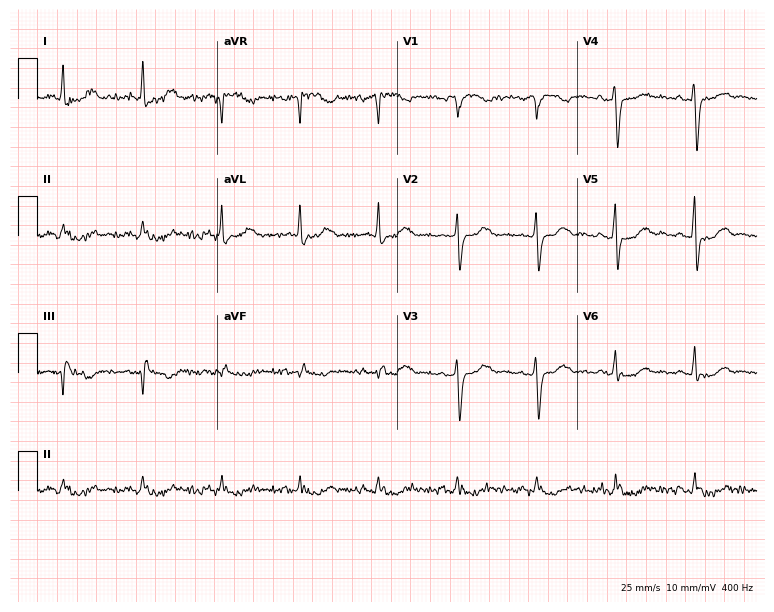
12-lead ECG from a woman, 70 years old (7.3-second recording at 400 Hz). No first-degree AV block, right bundle branch block (RBBB), left bundle branch block (LBBB), sinus bradycardia, atrial fibrillation (AF) or sinus tachycardia recorded for this tracing. Other findings, if any, are not listed.